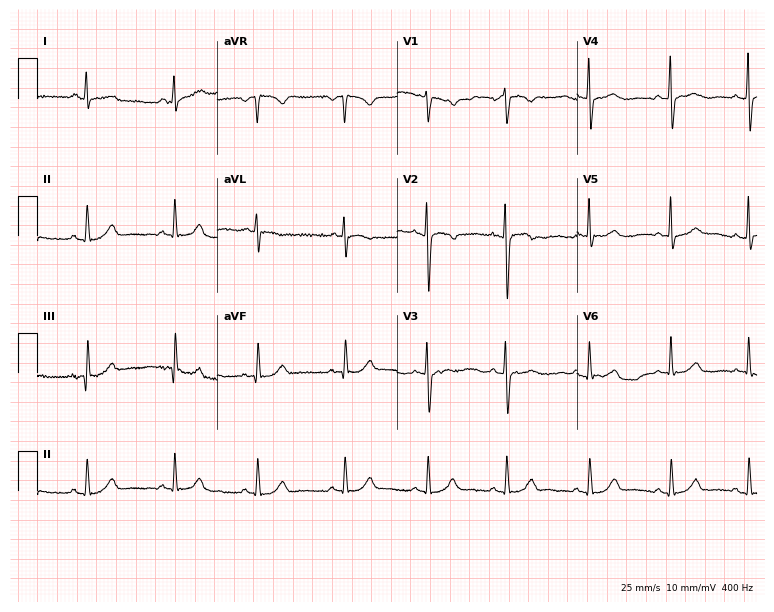
12-lead ECG from a 28-year-old female patient (7.3-second recording at 400 Hz). No first-degree AV block, right bundle branch block (RBBB), left bundle branch block (LBBB), sinus bradycardia, atrial fibrillation (AF) or sinus tachycardia recorded for this tracing. Only these six findings were labelled.